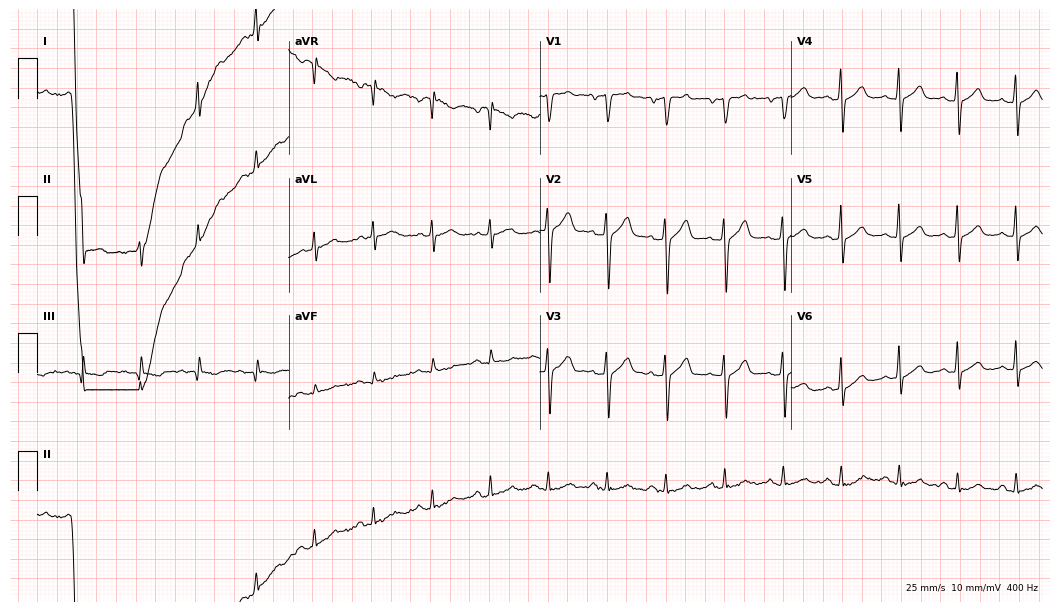
Resting 12-lead electrocardiogram (10.2-second recording at 400 Hz). Patient: a man, 65 years old. None of these six findings is recorded: first-degree AV block, right bundle branch block, left bundle branch block, sinus bradycardia, atrial fibrillation, sinus tachycardia.